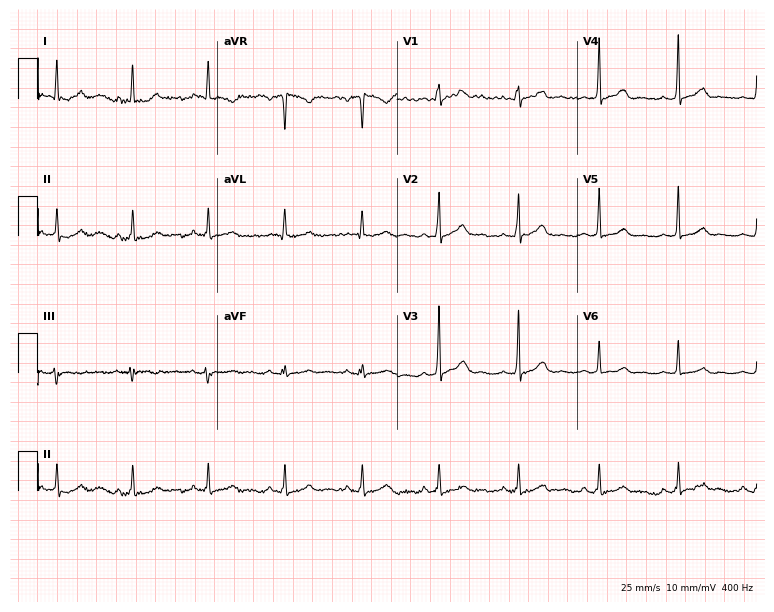
12-lead ECG from a 38-year-old female (7.3-second recording at 400 Hz). Recorded interpretation: within normal limits.